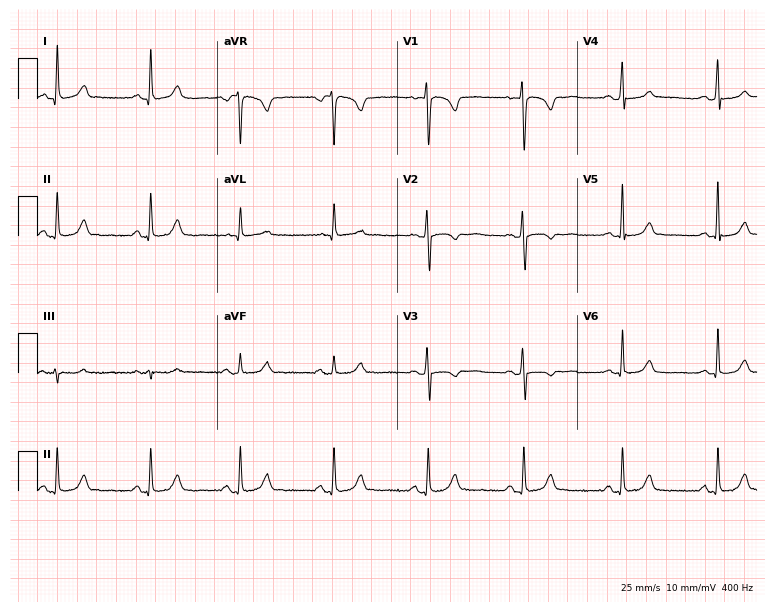
12-lead ECG from a female patient, 32 years old. Recorded interpretation: within normal limits.